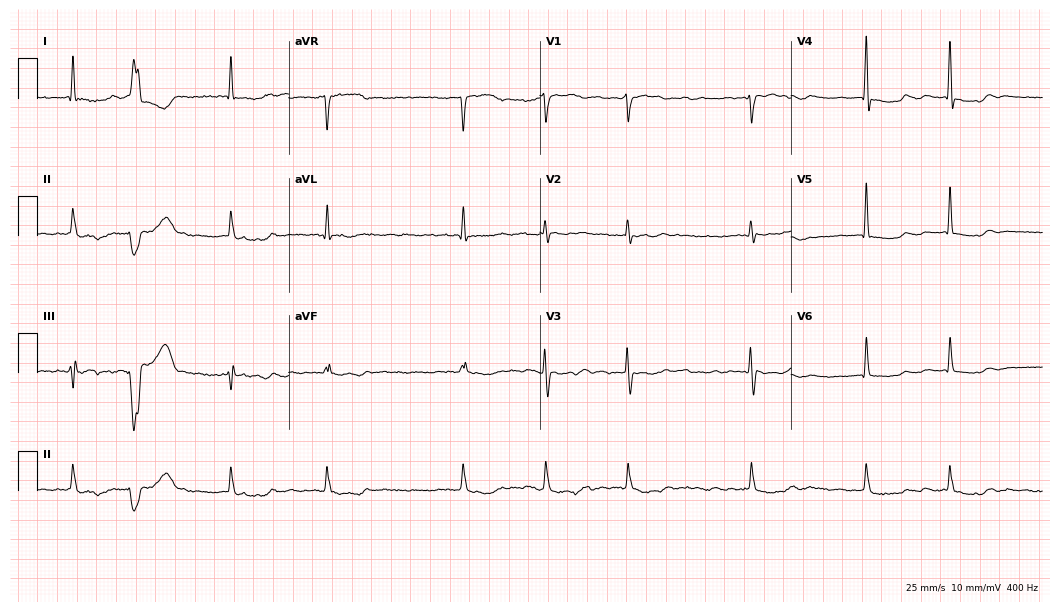
Standard 12-lead ECG recorded from a 75-year-old female patient (10.2-second recording at 400 Hz). The tracing shows atrial fibrillation.